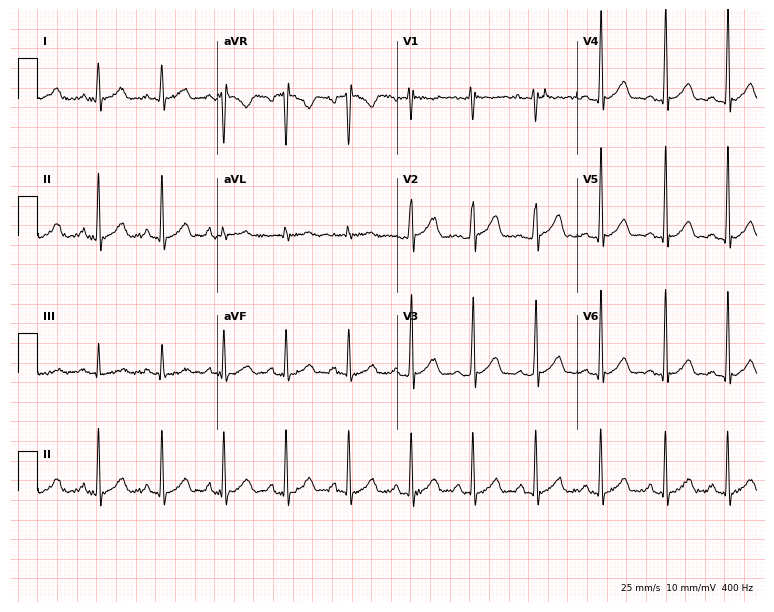
12-lead ECG from a female, 21 years old. Recorded interpretation: within normal limits.